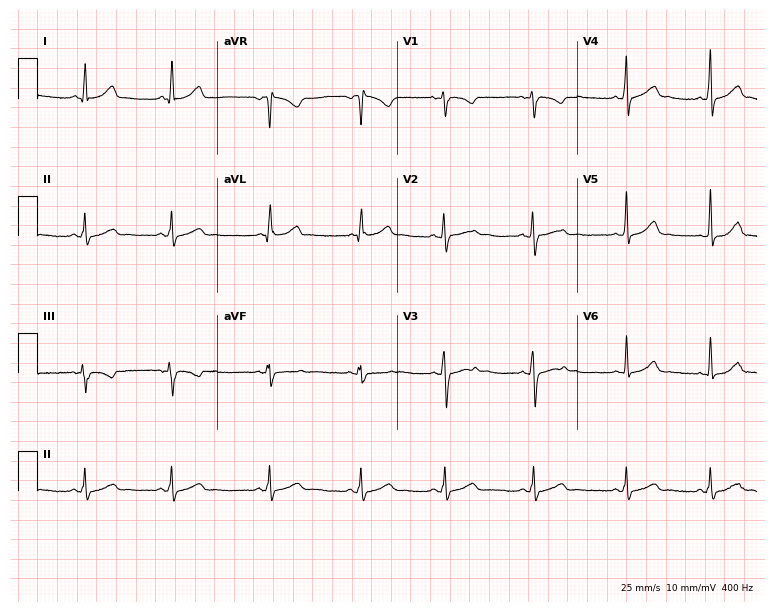
Resting 12-lead electrocardiogram (7.3-second recording at 400 Hz). Patient: a female, 21 years old. None of these six findings is recorded: first-degree AV block, right bundle branch block, left bundle branch block, sinus bradycardia, atrial fibrillation, sinus tachycardia.